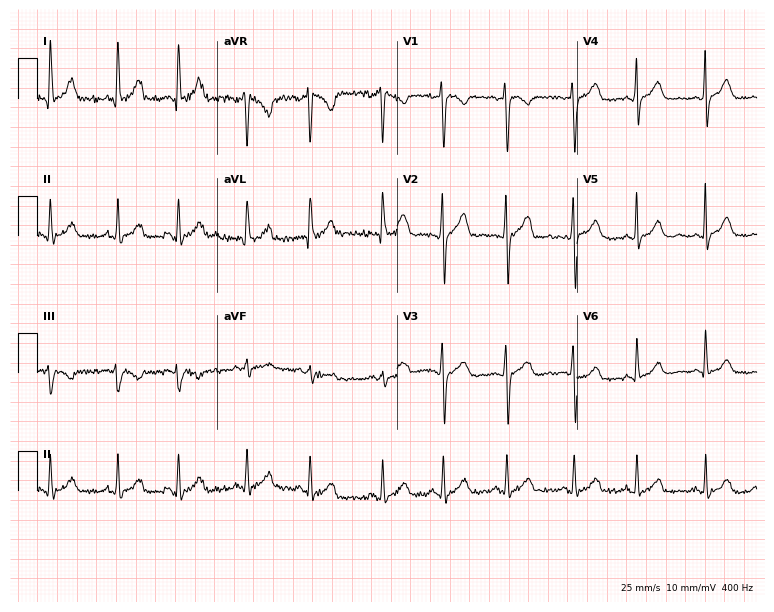
12-lead ECG (7.3-second recording at 400 Hz) from a woman, 31 years old. Labelled as a normal ECG.